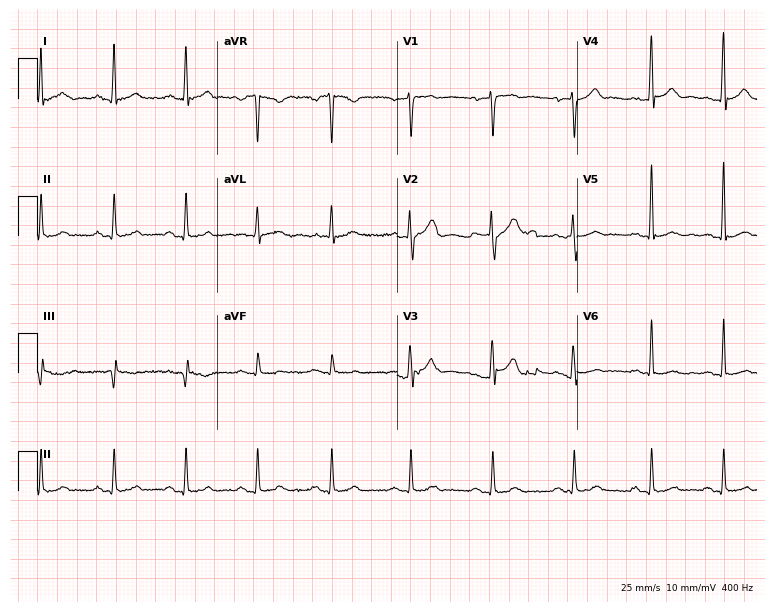
12-lead ECG (7.3-second recording at 400 Hz) from a 33-year-old male patient. Screened for six findings — first-degree AV block, right bundle branch block (RBBB), left bundle branch block (LBBB), sinus bradycardia, atrial fibrillation (AF), sinus tachycardia — none is recorded.